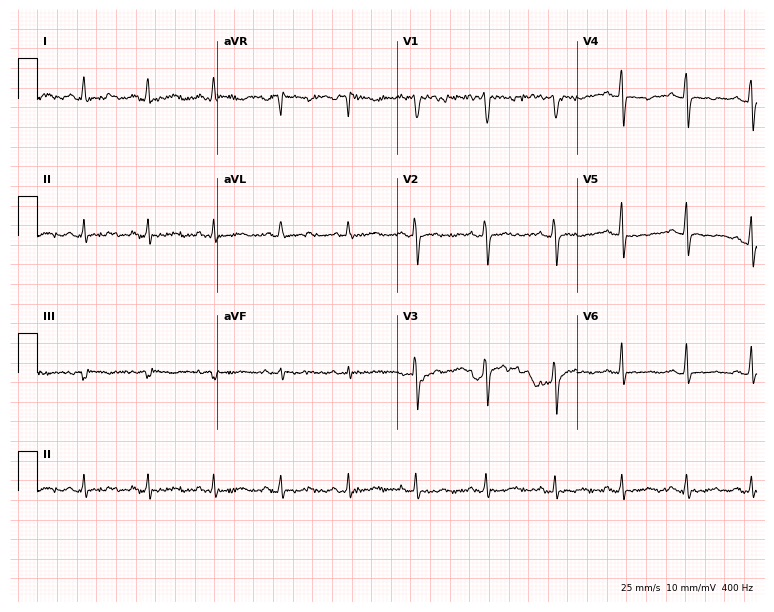
12-lead ECG from a 34-year-old female (7.3-second recording at 400 Hz). No first-degree AV block, right bundle branch block, left bundle branch block, sinus bradycardia, atrial fibrillation or sinus tachycardia recorded for this tracing. Findings outside these six are not listed.